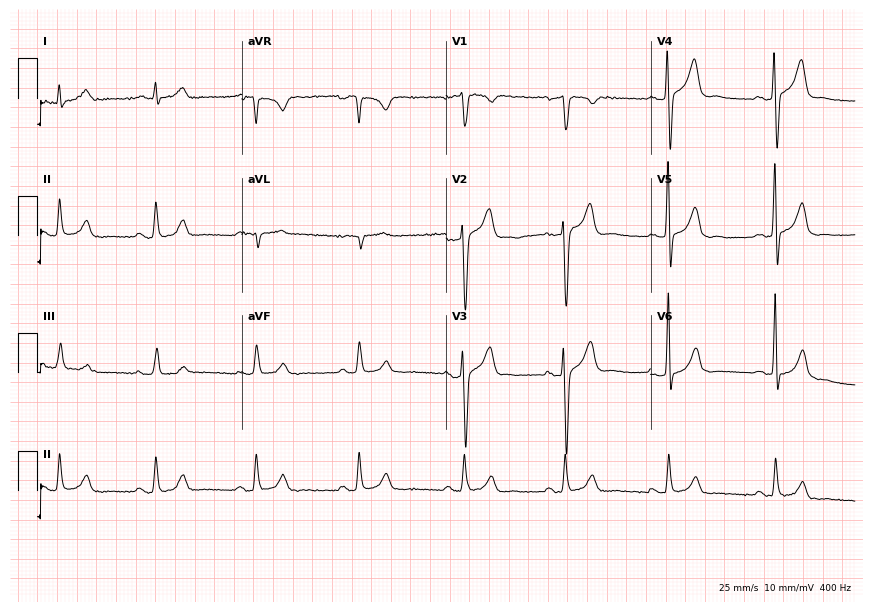
Resting 12-lead electrocardiogram (8.3-second recording at 400 Hz). Patient: a 48-year-old male. Read as a normal ECG.